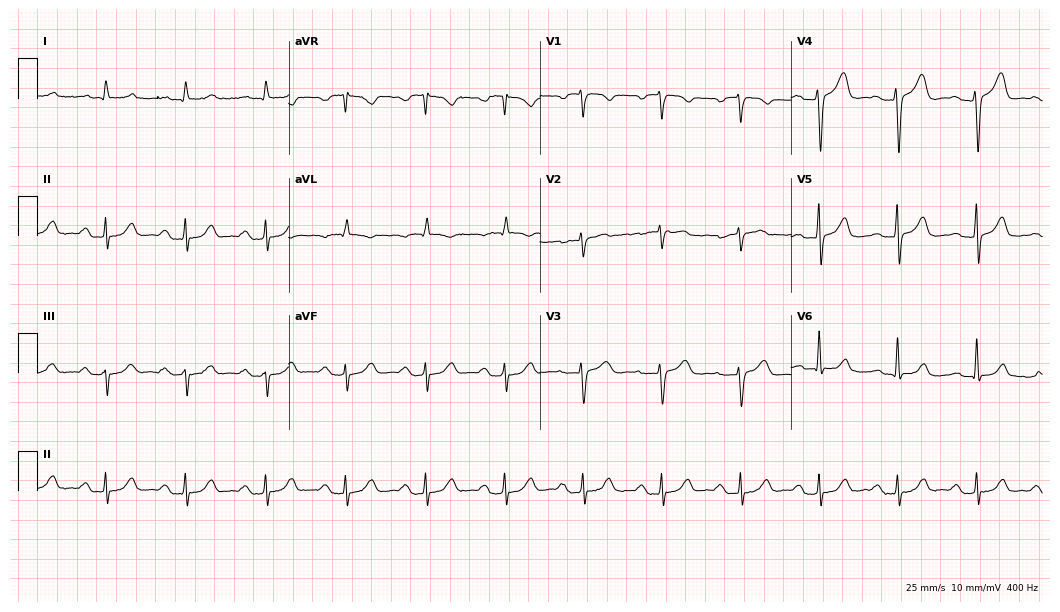
Standard 12-lead ECG recorded from a man, 77 years old (10.2-second recording at 400 Hz). Read as a normal ECG.